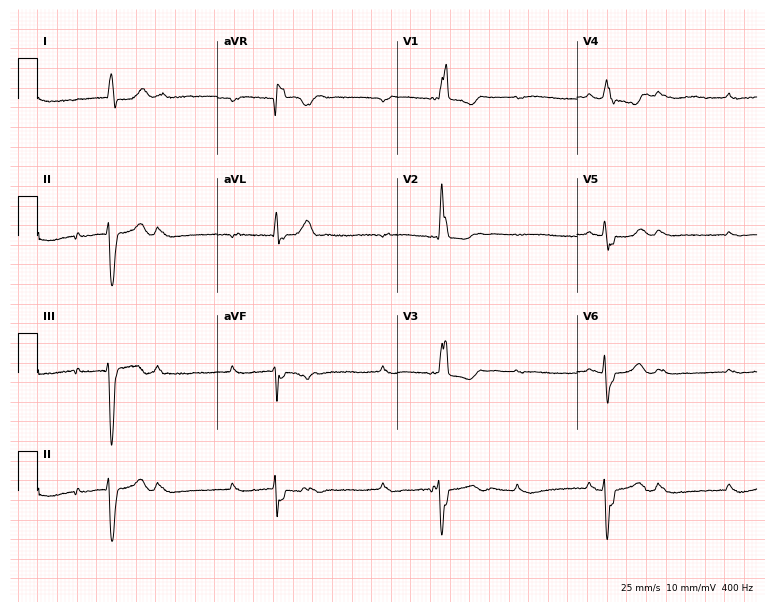
Standard 12-lead ECG recorded from an 80-year-old woman. None of these six findings is recorded: first-degree AV block, right bundle branch block (RBBB), left bundle branch block (LBBB), sinus bradycardia, atrial fibrillation (AF), sinus tachycardia.